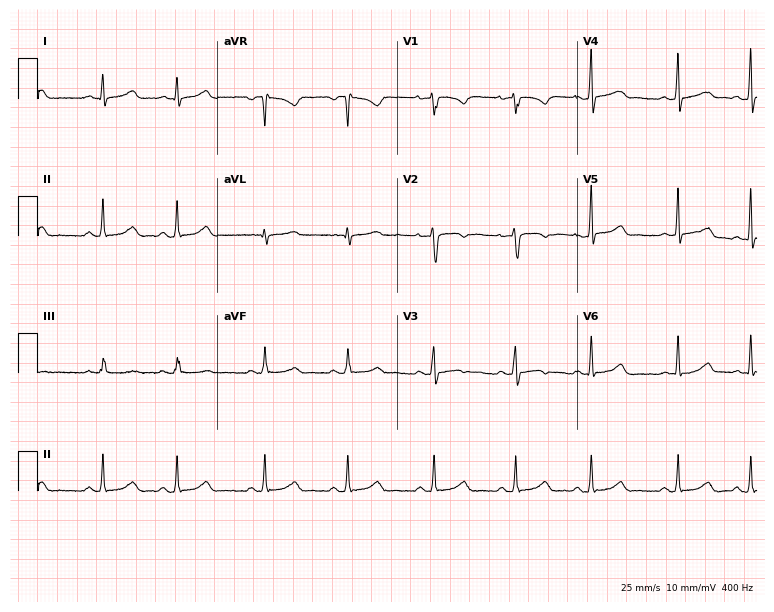
12-lead ECG (7.3-second recording at 400 Hz) from a female patient, 24 years old. Labelled as a normal ECG.